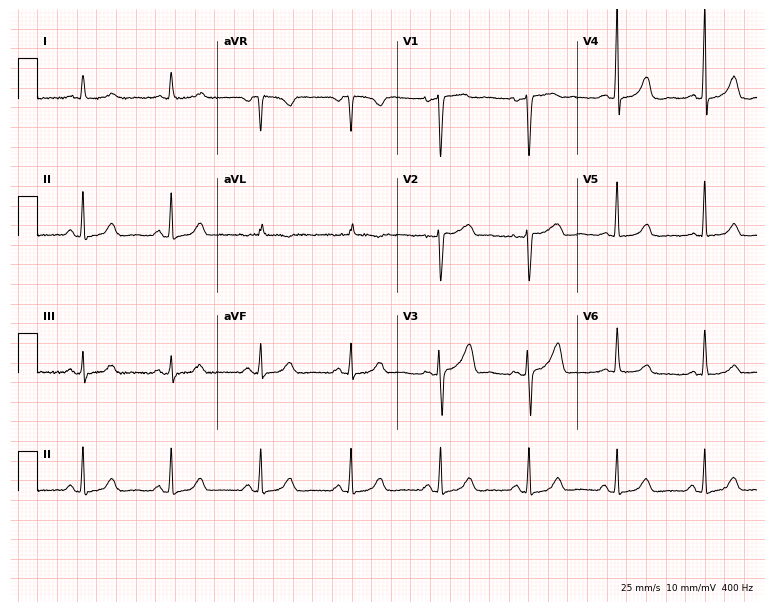
Electrocardiogram, a 52-year-old woman. Of the six screened findings (first-degree AV block, right bundle branch block (RBBB), left bundle branch block (LBBB), sinus bradycardia, atrial fibrillation (AF), sinus tachycardia), none is recorded. Findings outside these six are not listed.